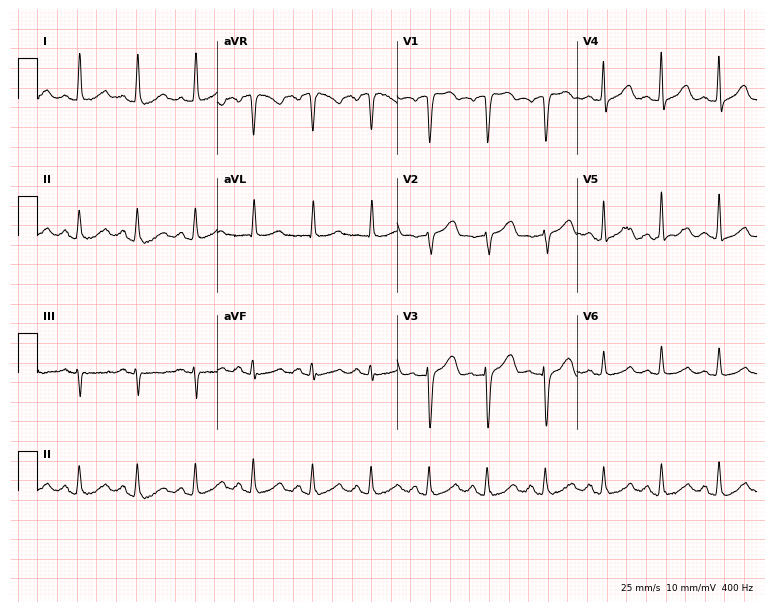
Resting 12-lead electrocardiogram (7.3-second recording at 400 Hz). Patient: a 77-year-old female. The tracing shows sinus tachycardia (a sinus rate of 100 beats per minute or more).